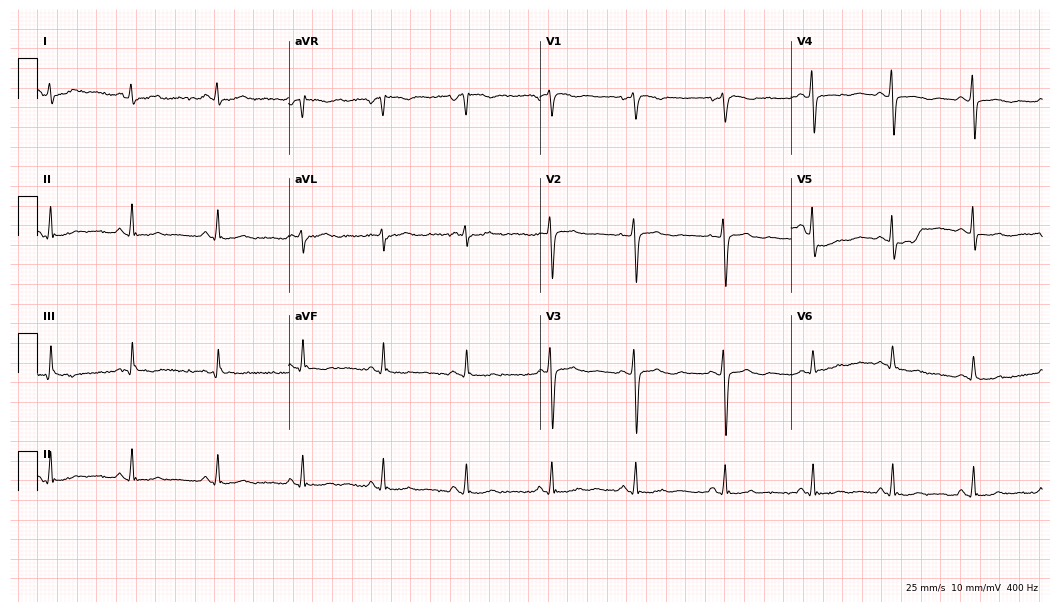
12-lead ECG from a female patient, 46 years old (10.2-second recording at 400 Hz). No first-degree AV block, right bundle branch block (RBBB), left bundle branch block (LBBB), sinus bradycardia, atrial fibrillation (AF) or sinus tachycardia recorded for this tracing. Other findings, if any, are not listed.